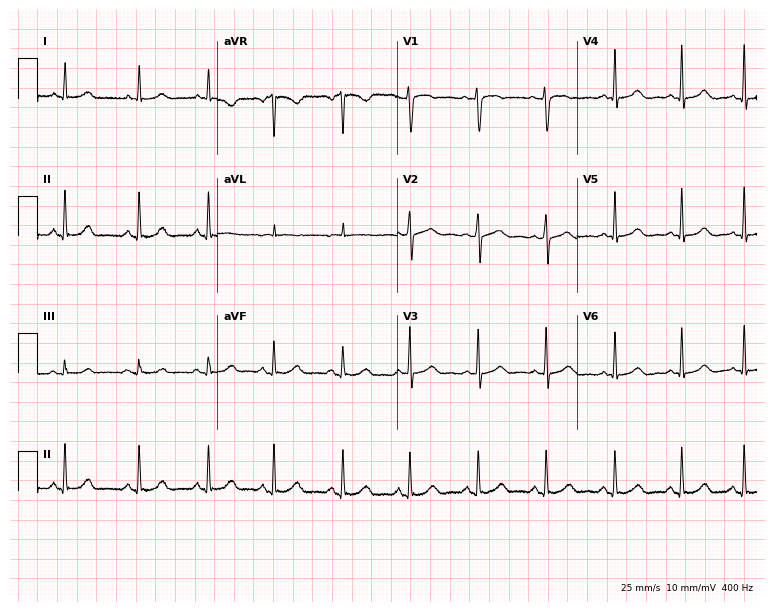
Standard 12-lead ECG recorded from a female, 48 years old. None of these six findings is recorded: first-degree AV block, right bundle branch block, left bundle branch block, sinus bradycardia, atrial fibrillation, sinus tachycardia.